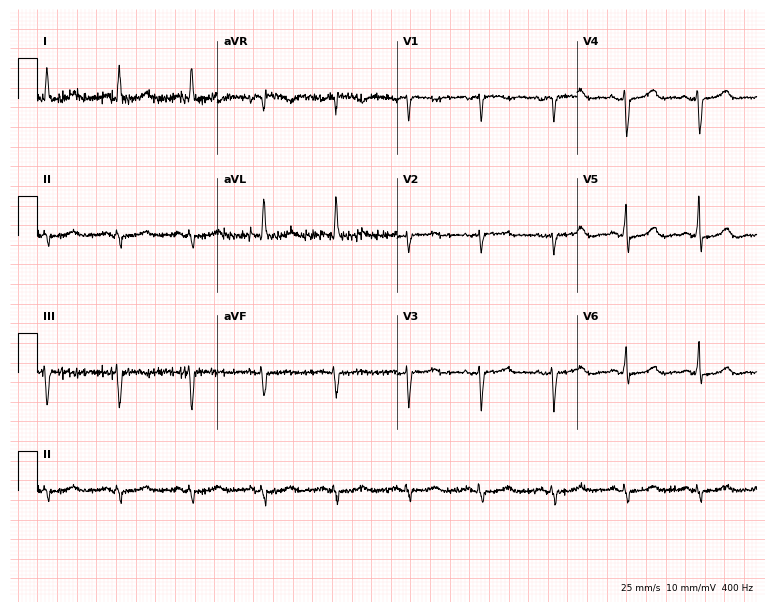
ECG (7.3-second recording at 400 Hz) — an 80-year-old female. Screened for six findings — first-degree AV block, right bundle branch block, left bundle branch block, sinus bradycardia, atrial fibrillation, sinus tachycardia — none is recorded. Only these six findings were labelled.